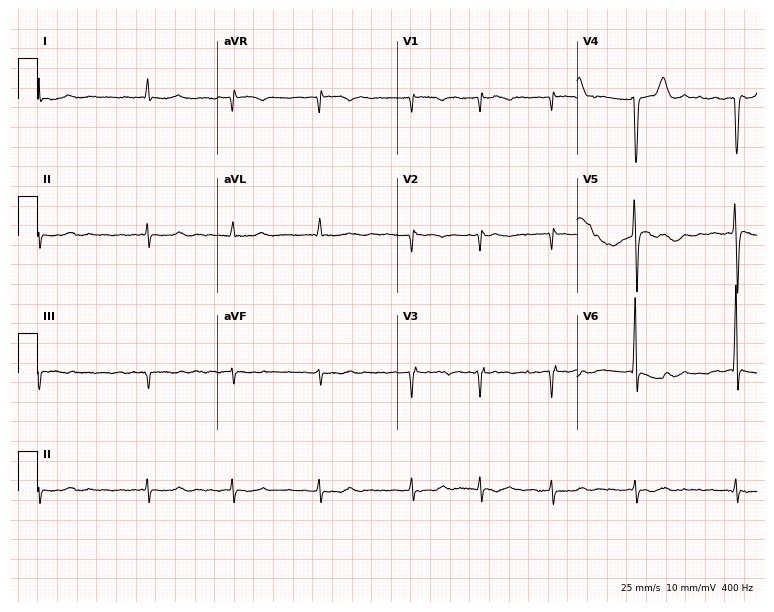
ECG — a male, 84 years old. Findings include atrial fibrillation.